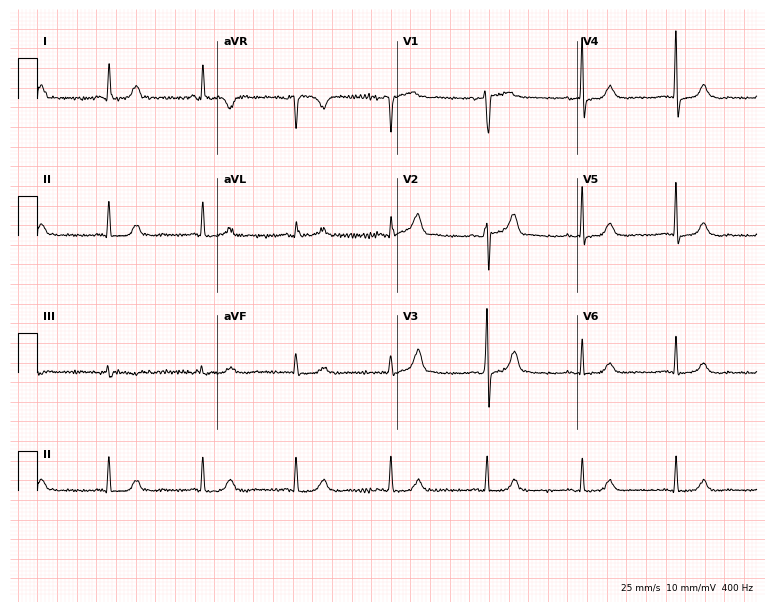
Electrocardiogram, a woman, 56 years old. Of the six screened findings (first-degree AV block, right bundle branch block, left bundle branch block, sinus bradycardia, atrial fibrillation, sinus tachycardia), none is recorded. Findings outside these six are not listed.